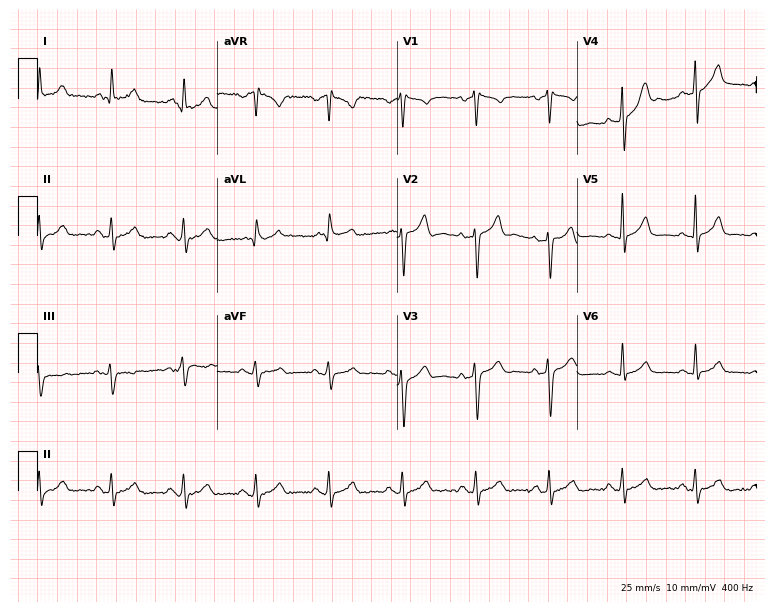
Resting 12-lead electrocardiogram. Patient: a male, 62 years old. None of these six findings is recorded: first-degree AV block, right bundle branch block, left bundle branch block, sinus bradycardia, atrial fibrillation, sinus tachycardia. Other findings, if any, are not listed.